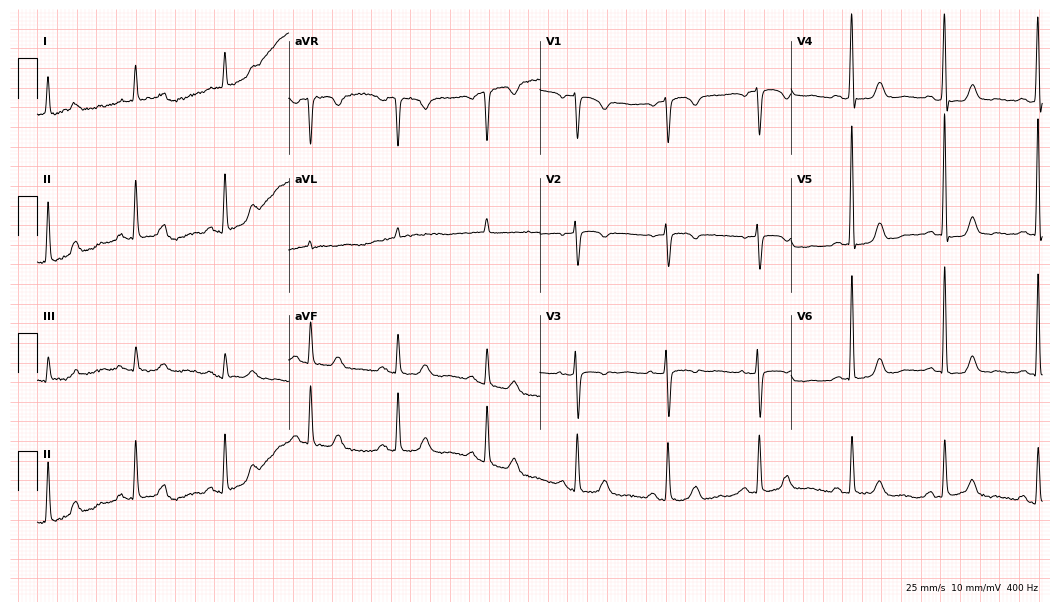
12-lead ECG from a 79-year-old woman. No first-degree AV block, right bundle branch block, left bundle branch block, sinus bradycardia, atrial fibrillation or sinus tachycardia recorded for this tracing. Findings outside these six are not listed.